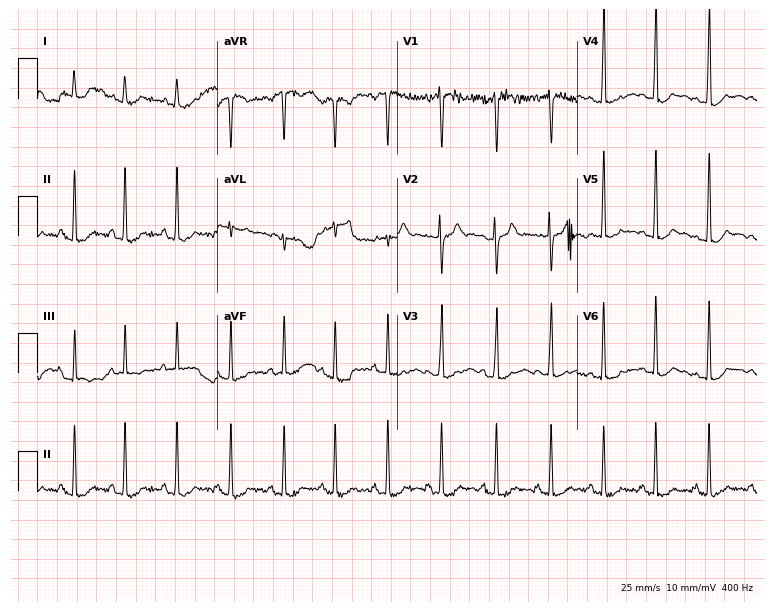
12-lead ECG from an 18-year-old female. Findings include sinus tachycardia (a sinus rate of 100 beats per minute or more).